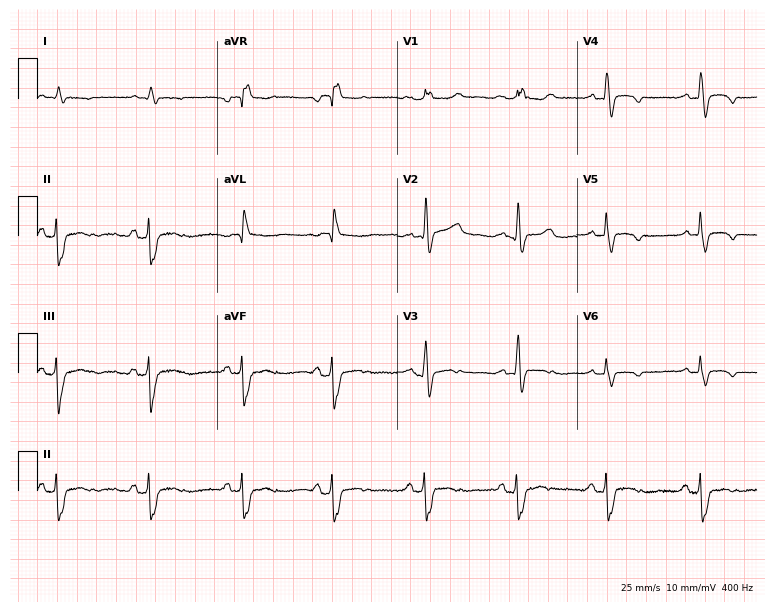
ECG (7.3-second recording at 400 Hz) — a female, 70 years old. Screened for six findings — first-degree AV block, right bundle branch block, left bundle branch block, sinus bradycardia, atrial fibrillation, sinus tachycardia — none is recorded.